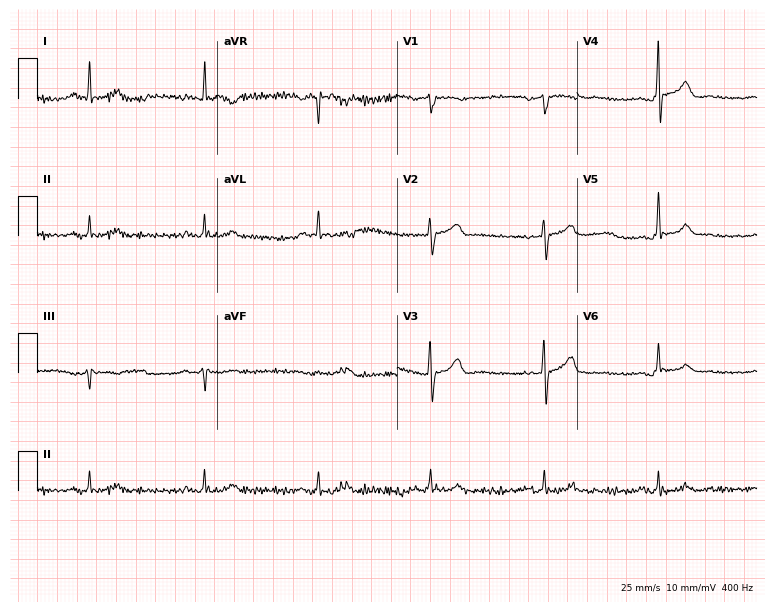
12-lead ECG from a male, 76 years old. Screened for six findings — first-degree AV block, right bundle branch block, left bundle branch block, sinus bradycardia, atrial fibrillation, sinus tachycardia — none is recorded. Findings outside these six are not listed.